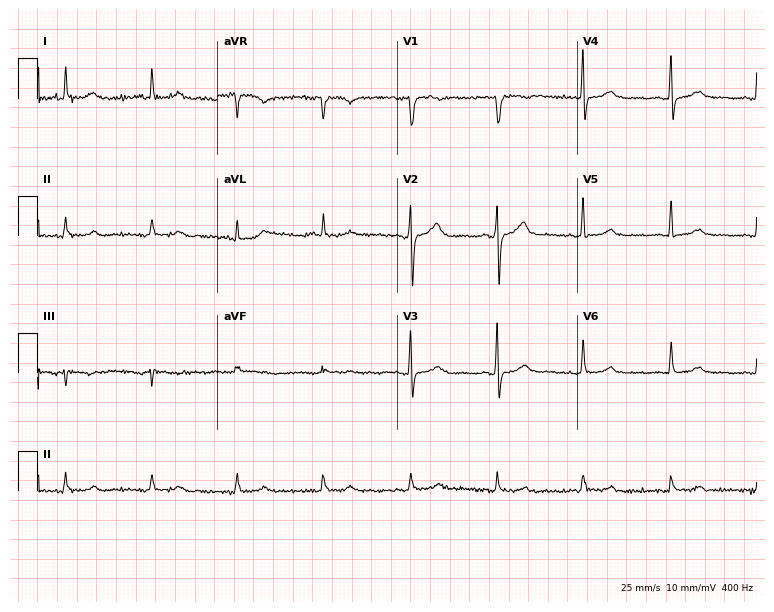
Standard 12-lead ECG recorded from a 46-year-old woman. Read as a normal ECG.